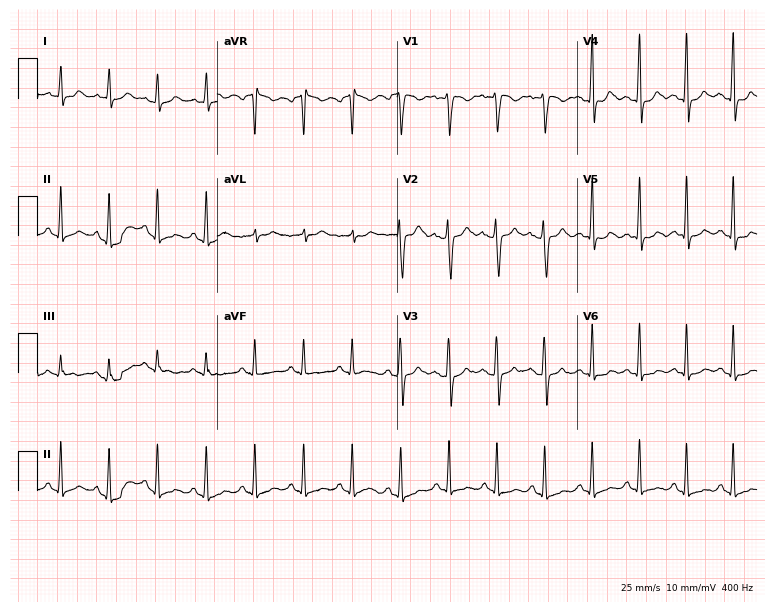
Electrocardiogram (7.3-second recording at 400 Hz), a female patient, 18 years old. Interpretation includes sinus tachycardia (a sinus rate of 100 beats per minute or more).